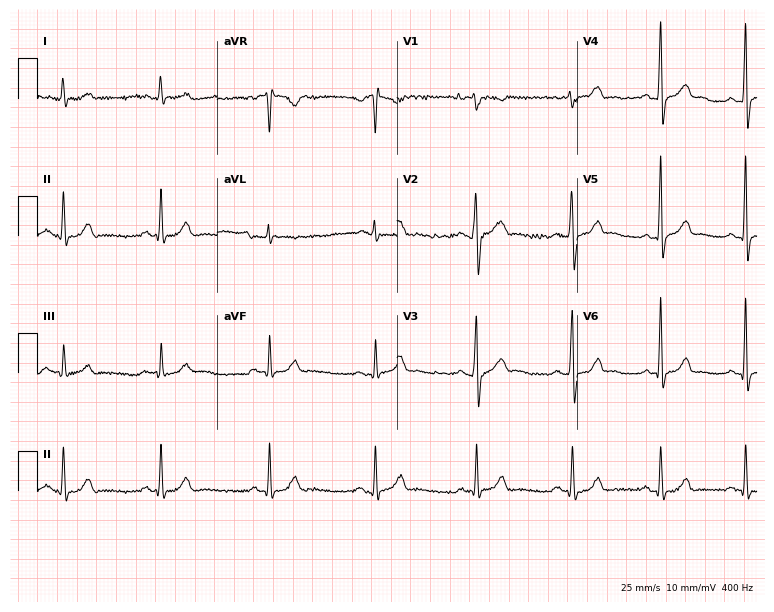
Standard 12-lead ECG recorded from a 25-year-old man (7.3-second recording at 400 Hz). None of these six findings is recorded: first-degree AV block, right bundle branch block, left bundle branch block, sinus bradycardia, atrial fibrillation, sinus tachycardia. Only these six findings were labelled.